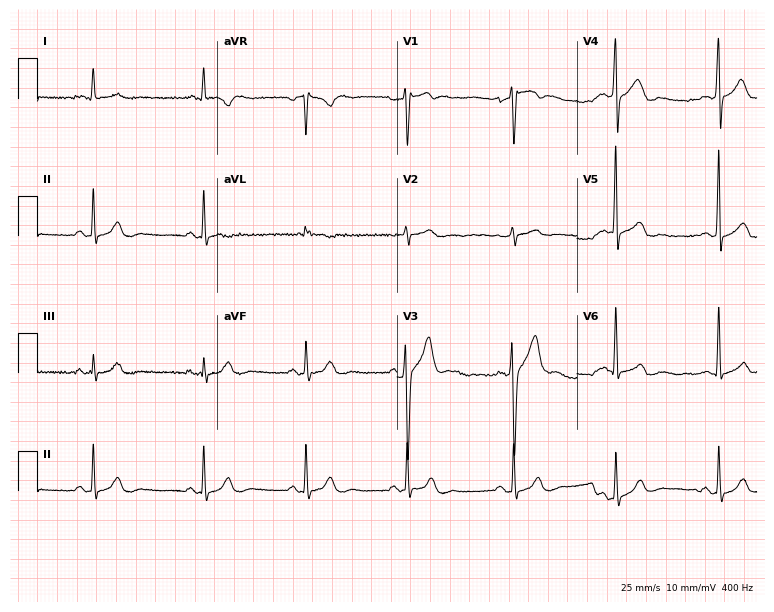
Standard 12-lead ECG recorded from a 33-year-old man. Read as a normal ECG.